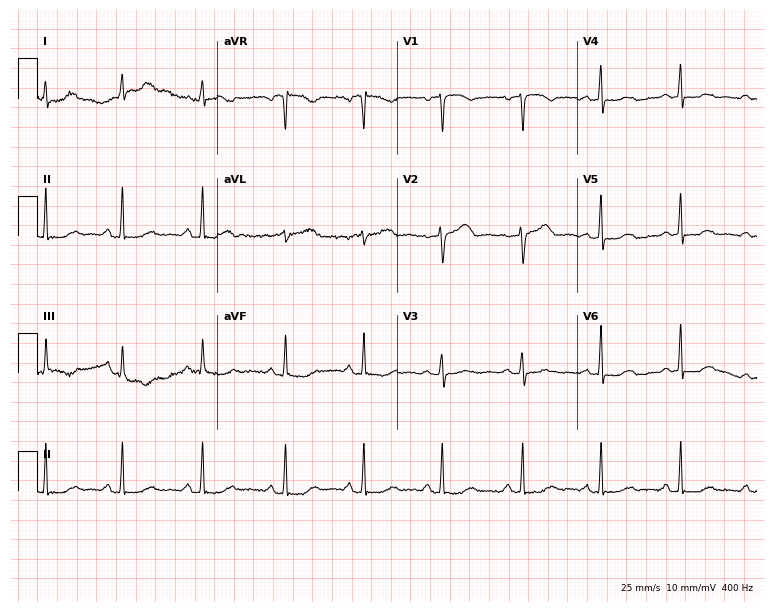
12-lead ECG (7.3-second recording at 400 Hz) from a female patient, 51 years old. Labelled as a normal ECG.